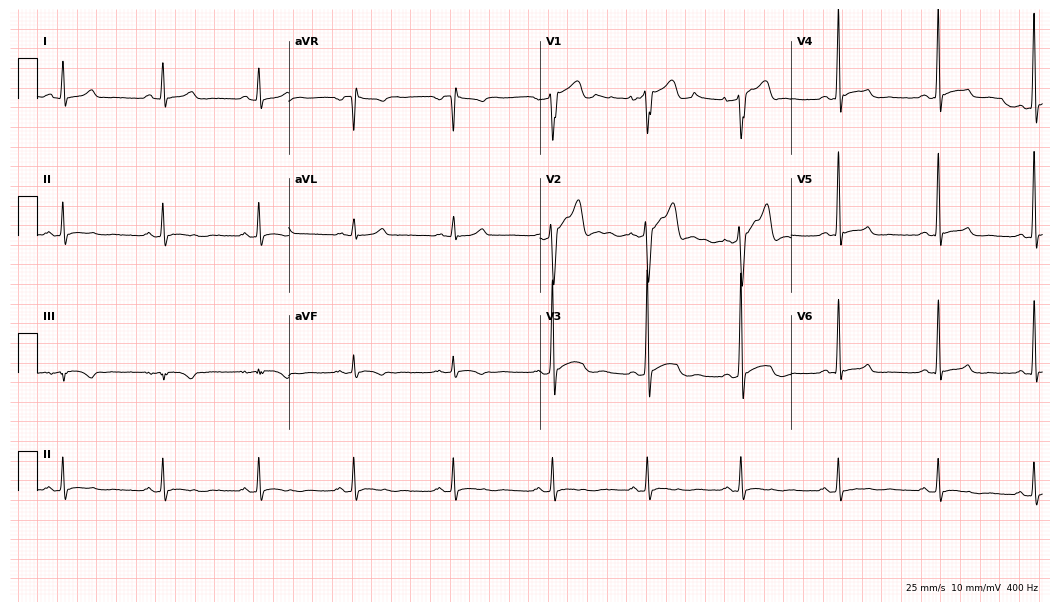
12-lead ECG (10.2-second recording at 400 Hz) from a male, 44 years old. Screened for six findings — first-degree AV block, right bundle branch block, left bundle branch block, sinus bradycardia, atrial fibrillation, sinus tachycardia — none is recorded.